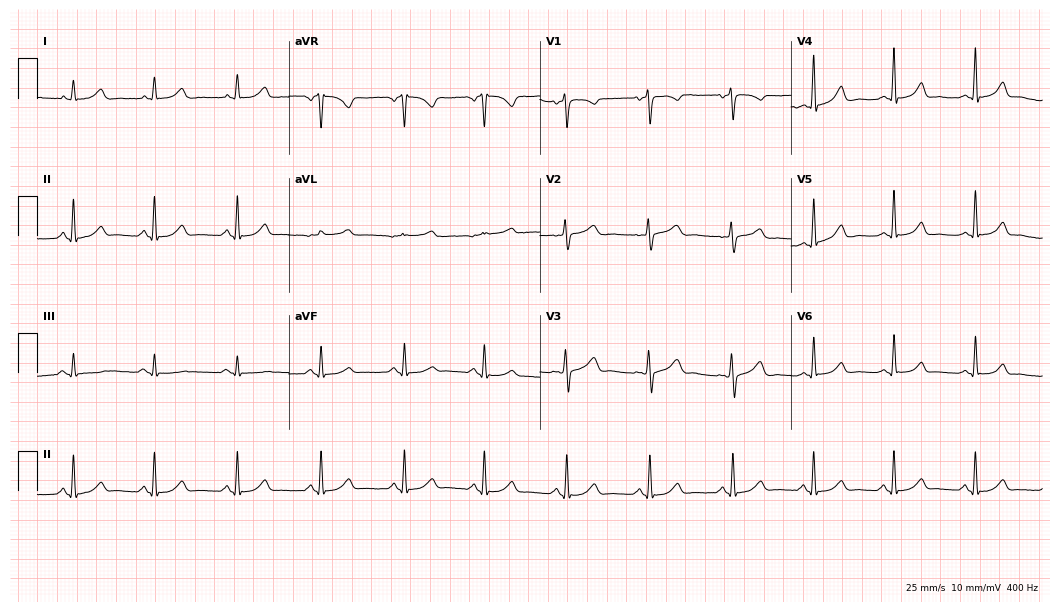
12-lead ECG from a woman, 45 years old. Recorded interpretation: within normal limits.